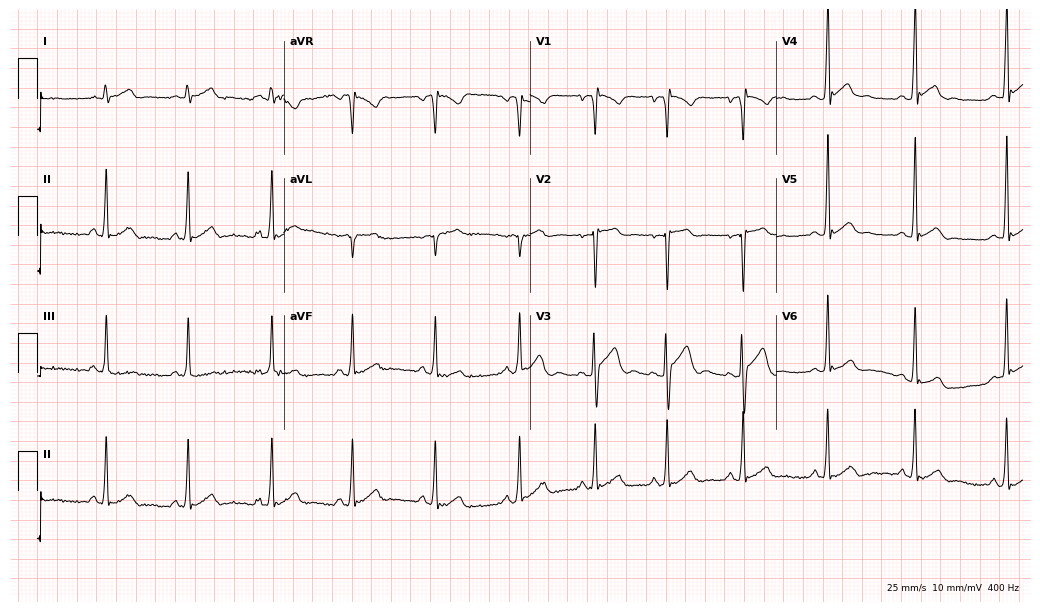
Standard 12-lead ECG recorded from a male, 17 years old (10-second recording at 400 Hz). Read as a normal ECG.